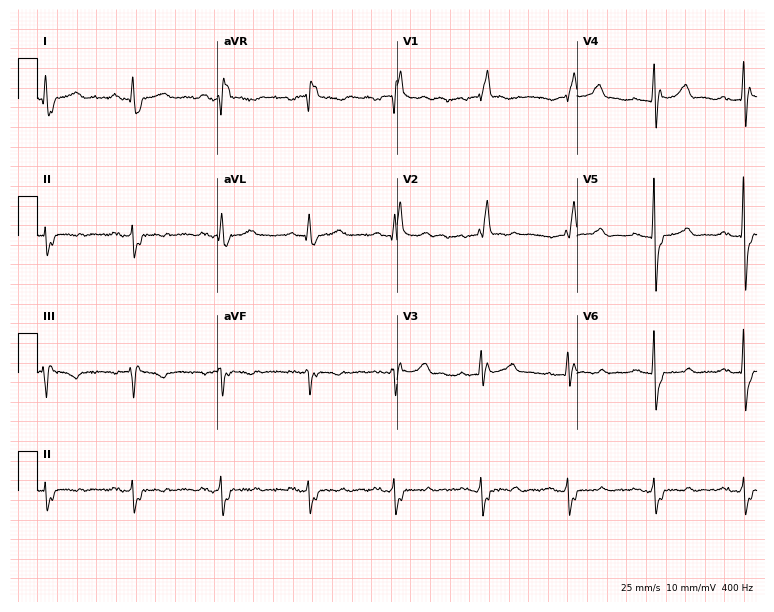
Resting 12-lead electrocardiogram. Patient: a 56-year-old female. The tracing shows right bundle branch block.